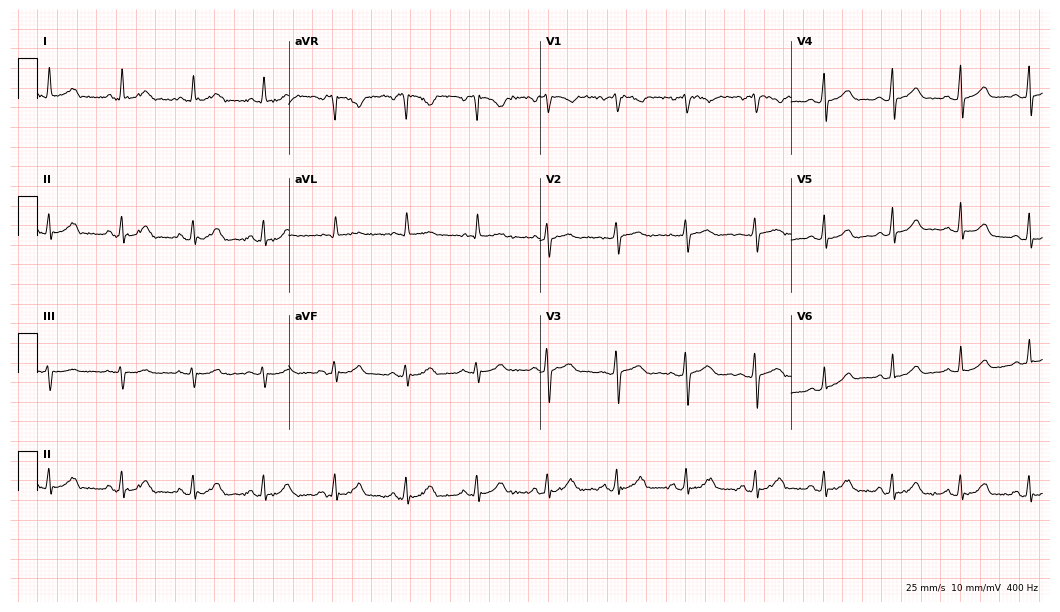
Standard 12-lead ECG recorded from a female patient, 34 years old. Read as a normal ECG.